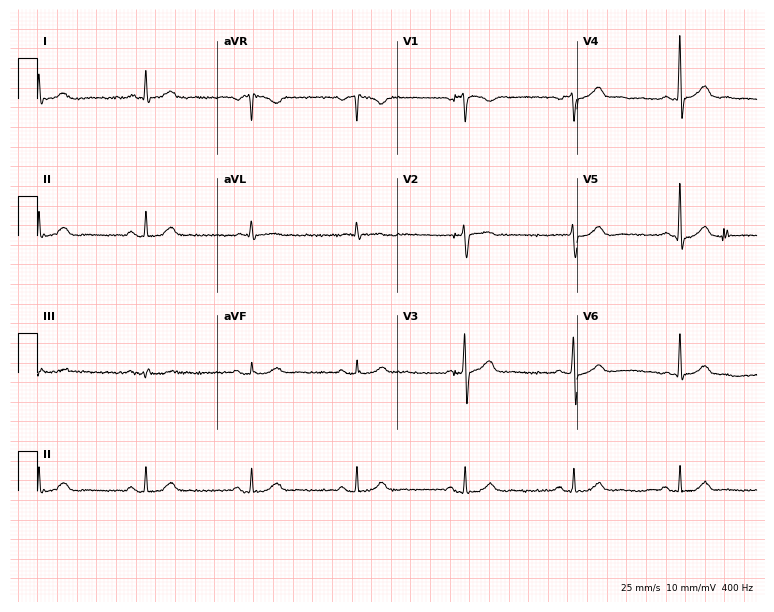
Electrocardiogram (7.3-second recording at 400 Hz), a 63-year-old male. Of the six screened findings (first-degree AV block, right bundle branch block, left bundle branch block, sinus bradycardia, atrial fibrillation, sinus tachycardia), none is recorded.